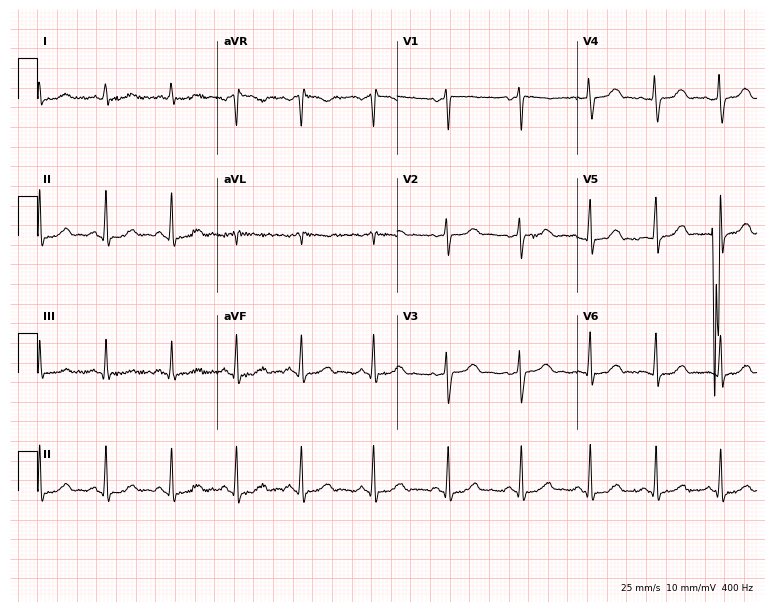
12-lead ECG from a 37-year-old female. No first-degree AV block, right bundle branch block, left bundle branch block, sinus bradycardia, atrial fibrillation or sinus tachycardia recorded for this tracing. Other findings, if any, are not listed.